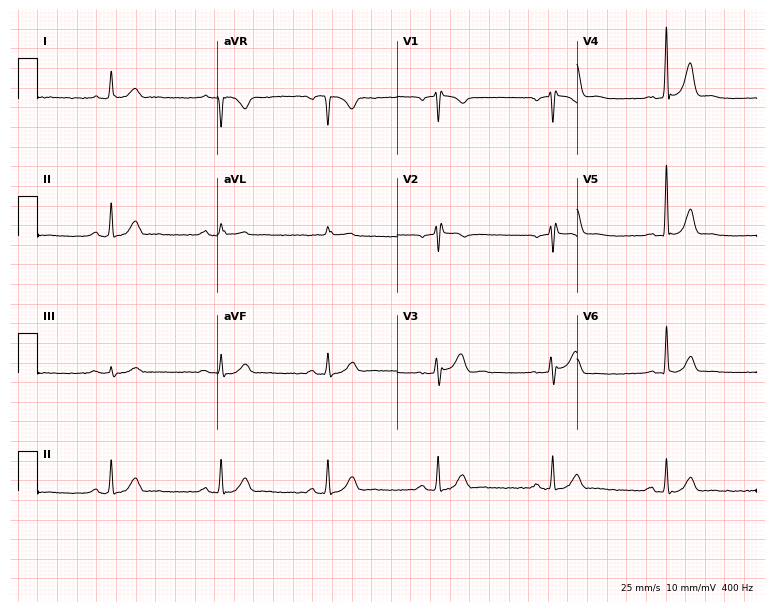
Resting 12-lead electrocardiogram (7.3-second recording at 400 Hz). Patient: a 47-year-old man. None of these six findings is recorded: first-degree AV block, right bundle branch block (RBBB), left bundle branch block (LBBB), sinus bradycardia, atrial fibrillation (AF), sinus tachycardia. Other findings, if any, are not listed.